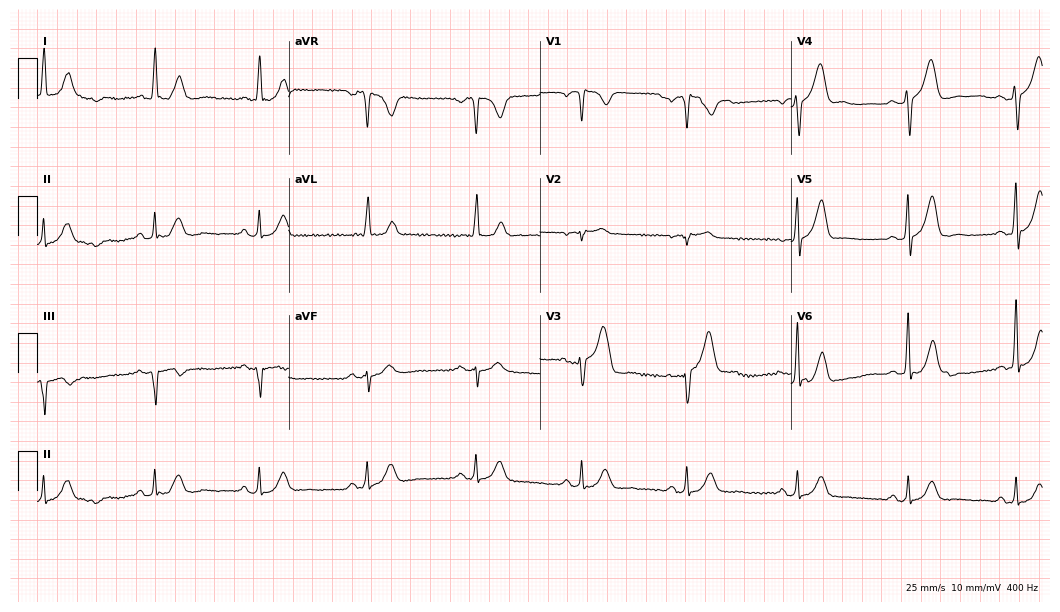
Resting 12-lead electrocardiogram. Patient: a male, 68 years old. Read as a normal ECG.